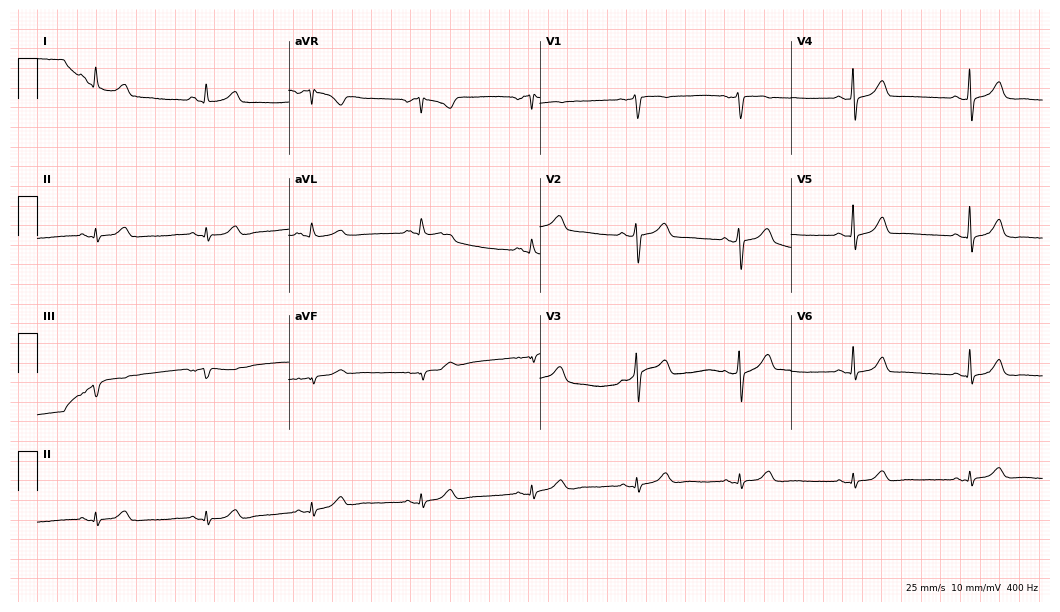
Standard 12-lead ECG recorded from a woman, 52 years old (10.2-second recording at 400 Hz). None of these six findings is recorded: first-degree AV block, right bundle branch block, left bundle branch block, sinus bradycardia, atrial fibrillation, sinus tachycardia.